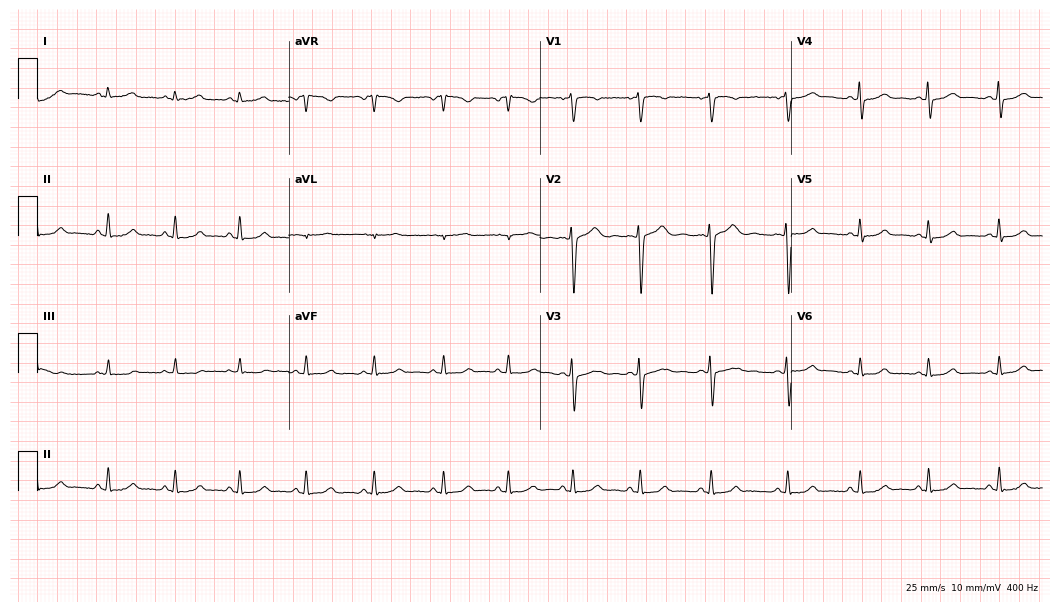
ECG (10.2-second recording at 400 Hz) — a female, 21 years old. Labelled as a normal ECG.